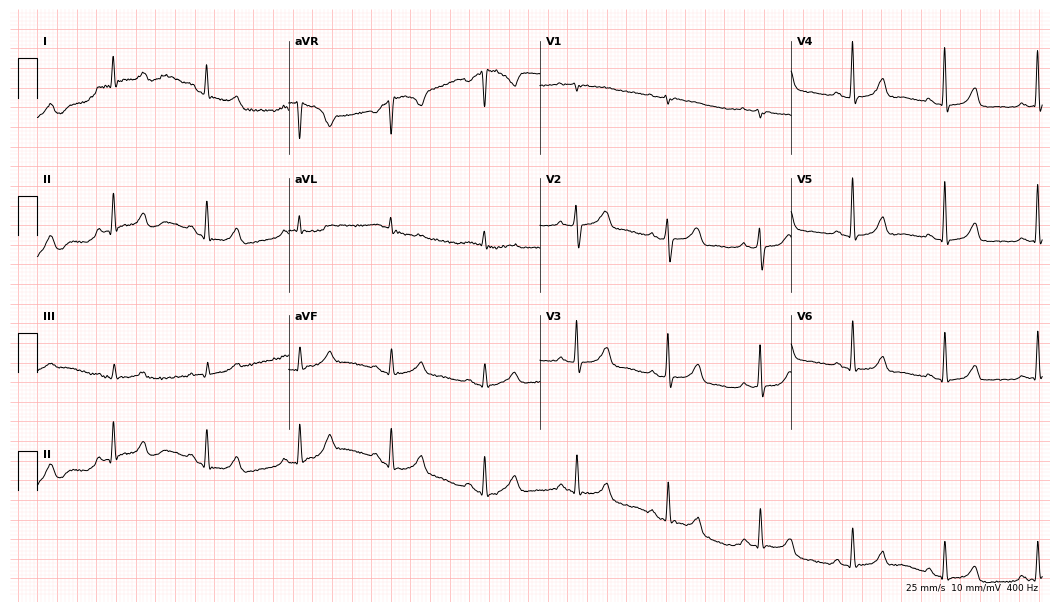
ECG — a 58-year-old woman. Screened for six findings — first-degree AV block, right bundle branch block, left bundle branch block, sinus bradycardia, atrial fibrillation, sinus tachycardia — none is recorded. Only these six findings were labelled.